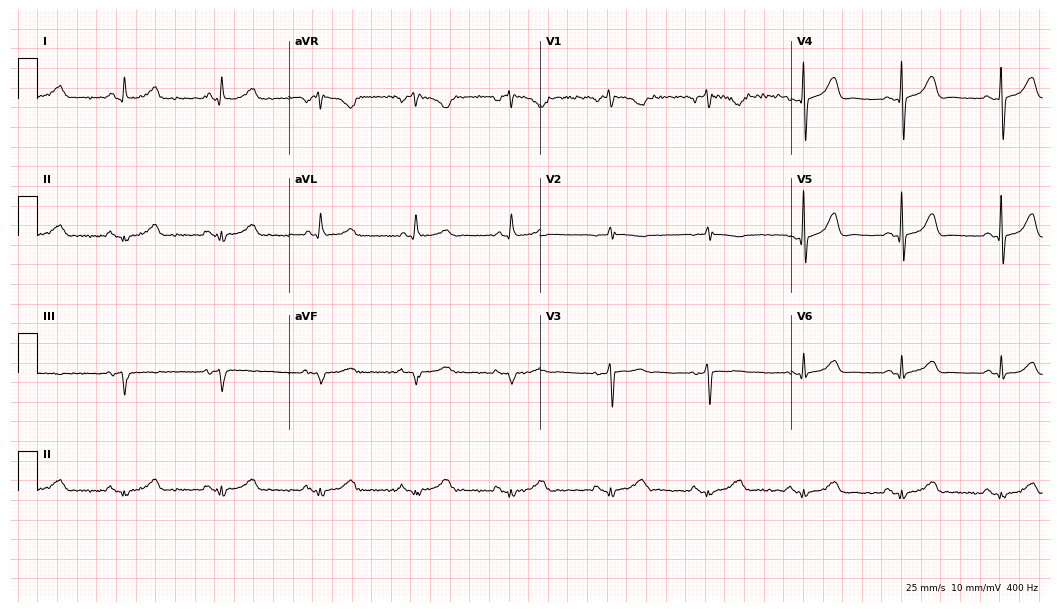
12-lead ECG from a female, 79 years old (10.2-second recording at 400 Hz). No first-degree AV block, right bundle branch block, left bundle branch block, sinus bradycardia, atrial fibrillation or sinus tachycardia recorded for this tracing. Other findings, if any, are not listed.